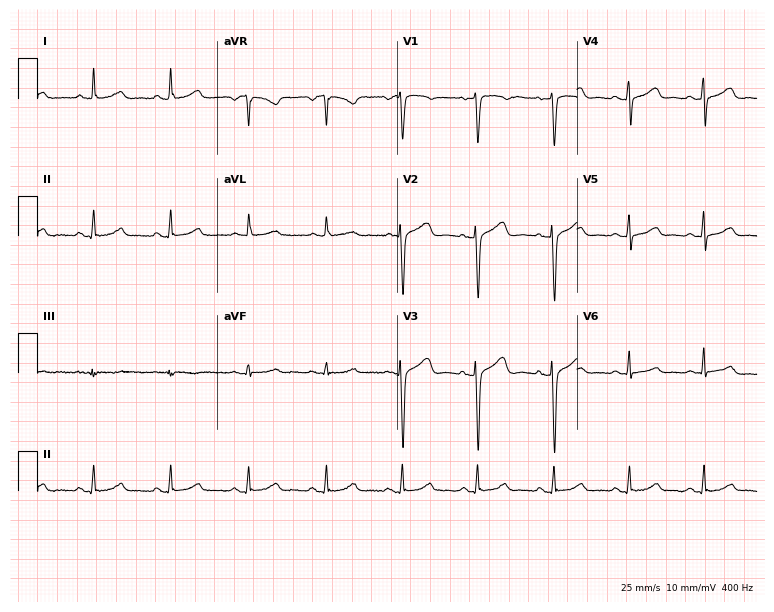
Standard 12-lead ECG recorded from a 51-year-old female (7.3-second recording at 400 Hz). Read as a normal ECG.